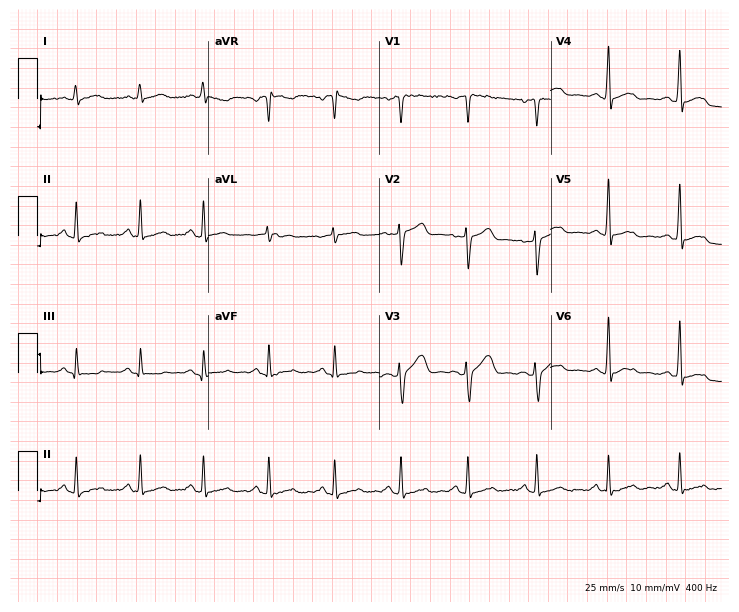
Standard 12-lead ECG recorded from a male, 45 years old (7-second recording at 400 Hz). None of these six findings is recorded: first-degree AV block, right bundle branch block (RBBB), left bundle branch block (LBBB), sinus bradycardia, atrial fibrillation (AF), sinus tachycardia.